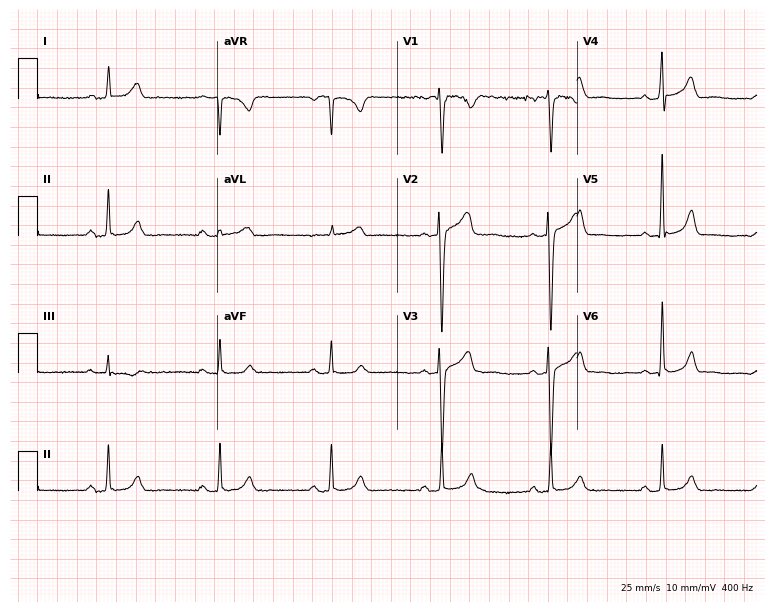
Resting 12-lead electrocardiogram. Patient: a 52-year-old male. Read as a normal ECG.